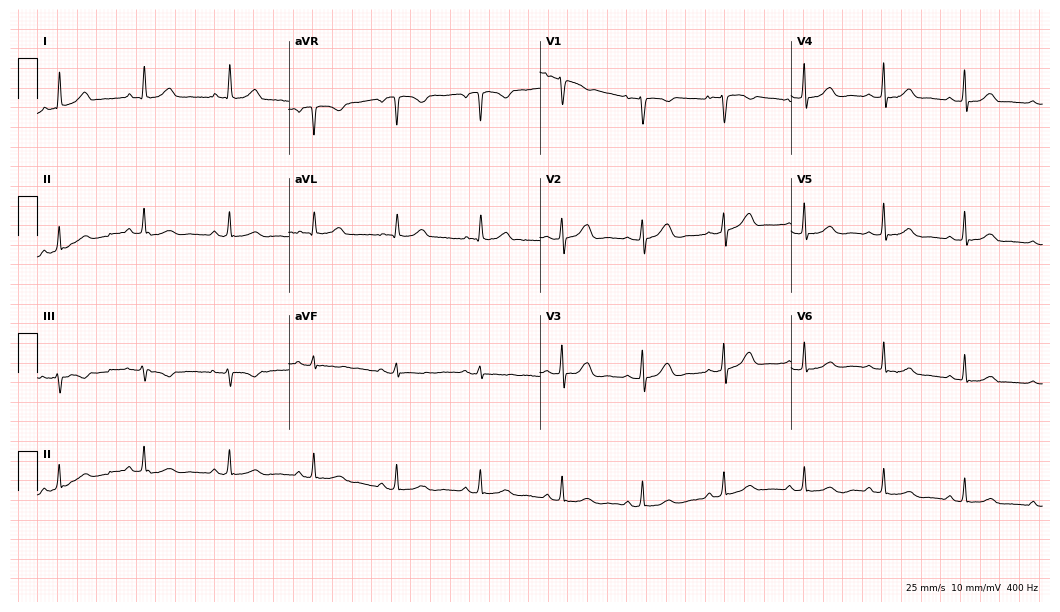
ECG (10.2-second recording at 400 Hz) — a woman, 47 years old. Labelled as a normal ECG.